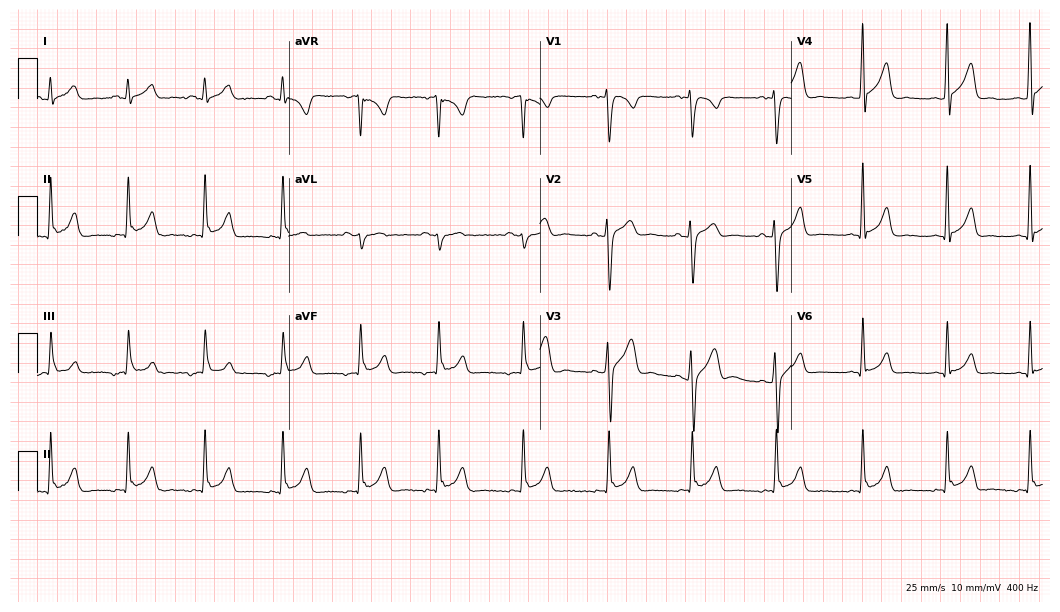
12-lead ECG from a 79-year-old man. Recorded interpretation: within normal limits.